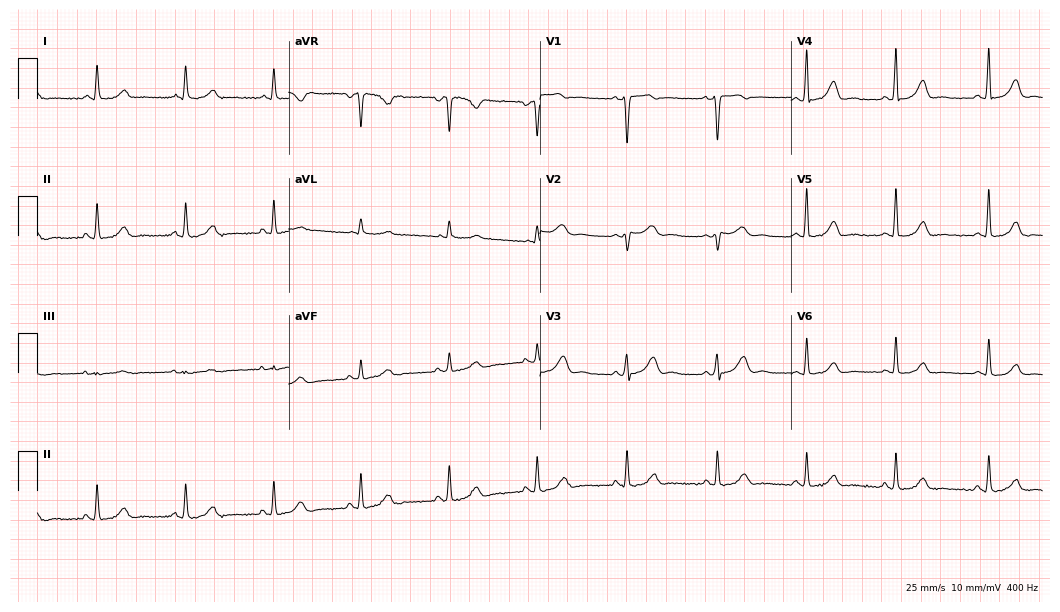
ECG — a 55-year-old female. Labelled as a normal ECG.